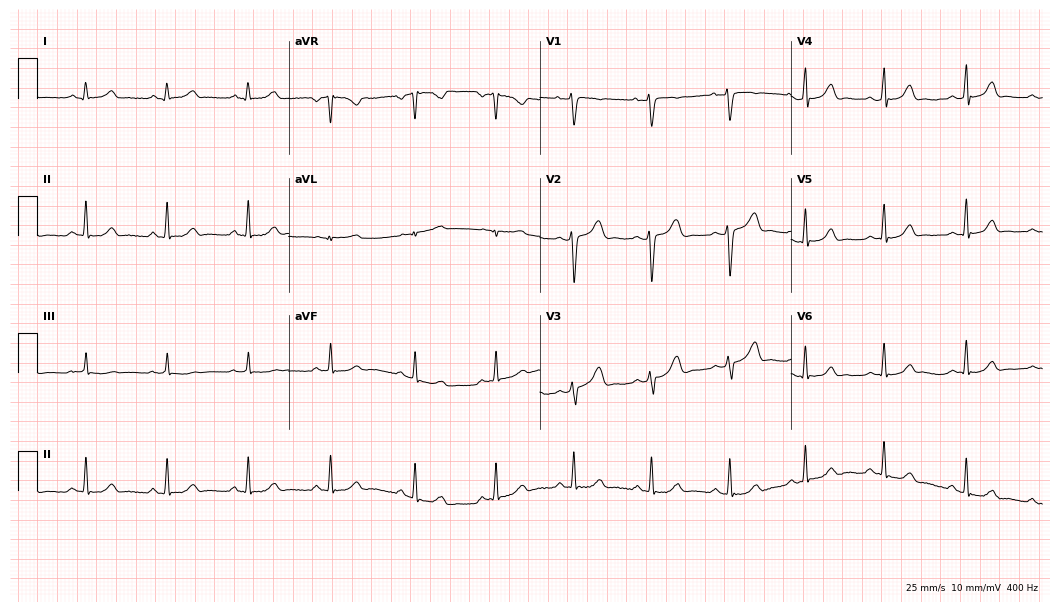
ECG — a 41-year-old female patient. Labelled as a normal ECG.